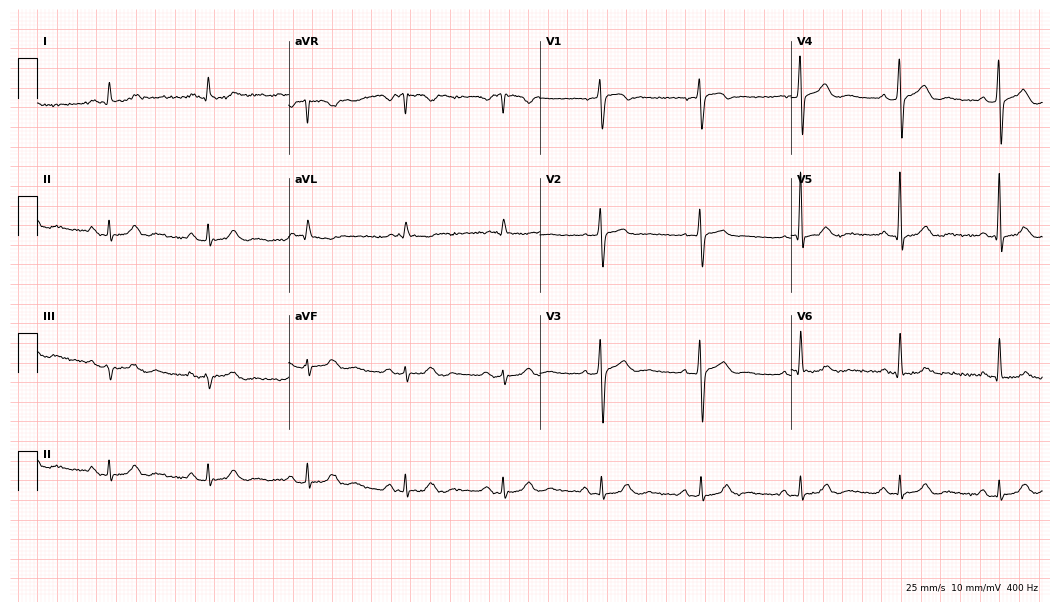
12-lead ECG from a man, 40 years old. Recorded interpretation: within normal limits.